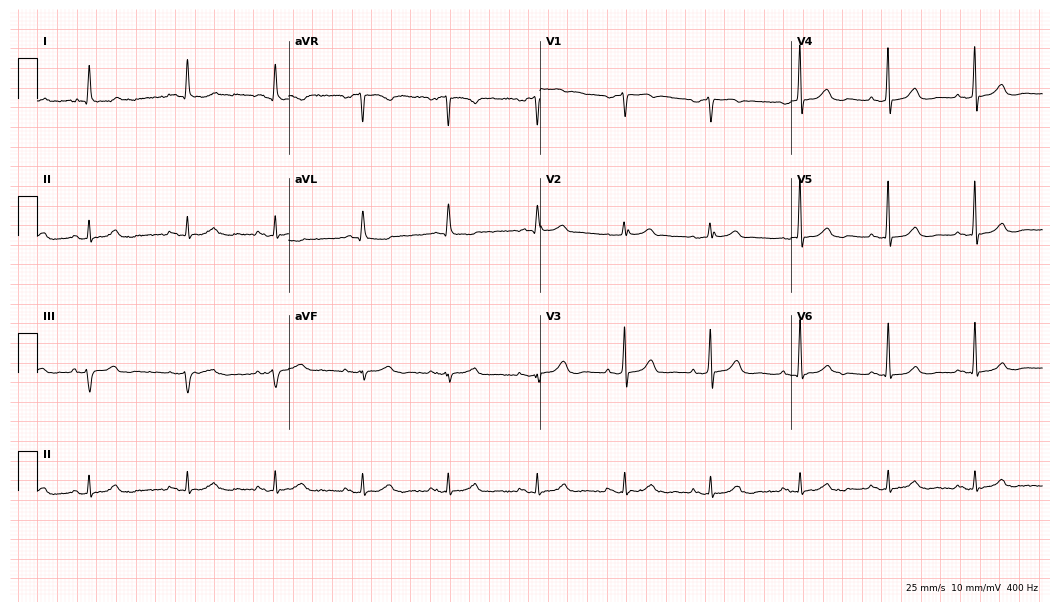
Resting 12-lead electrocardiogram (10.2-second recording at 400 Hz). Patient: a male, 77 years old. Read as a normal ECG.